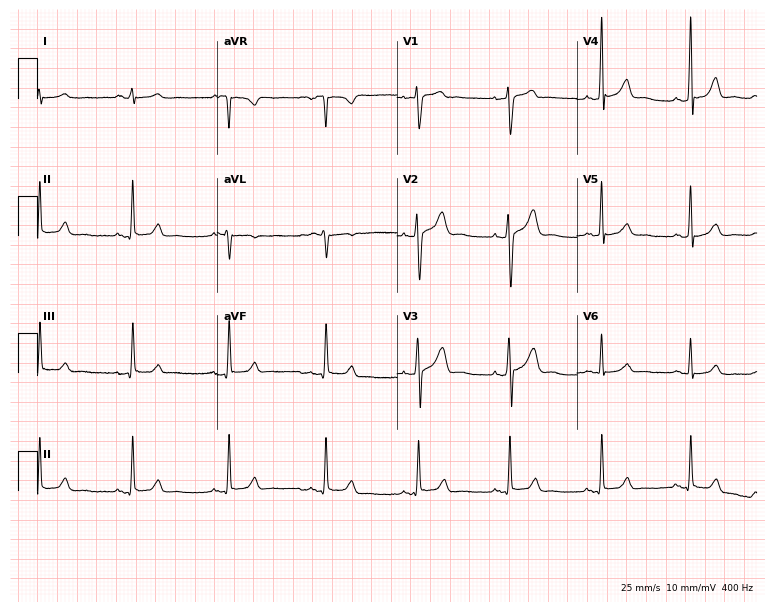
Standard 12-lead ECG recorded from a 22-year-old man. Read as a normal ECG.